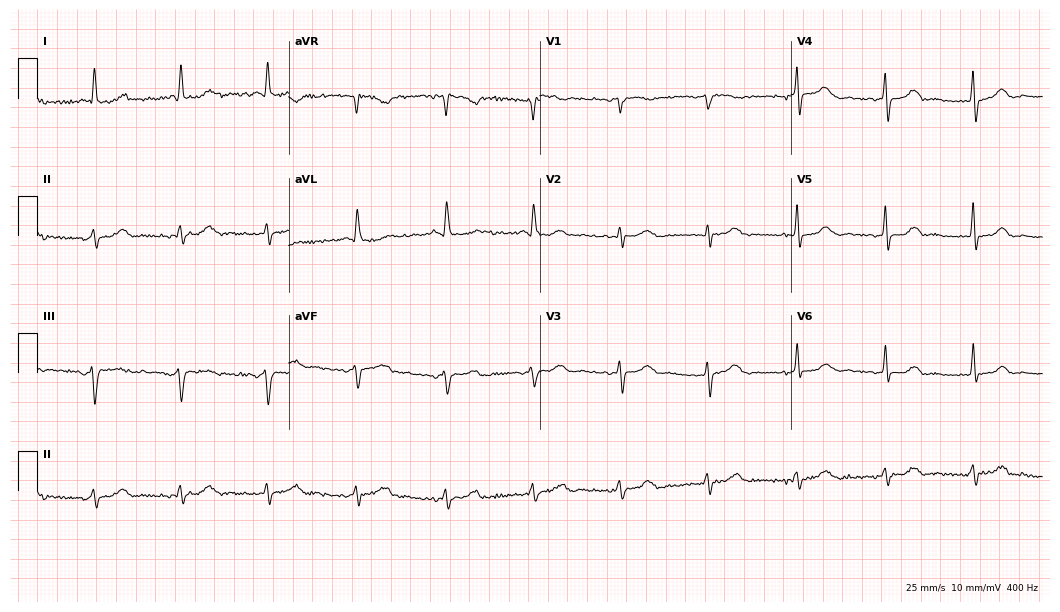
Resting 12-lead electrocardiogram (10.2-second recording at 400 Hz). Patient: an 81-year-old female. Read as a normal ECG.